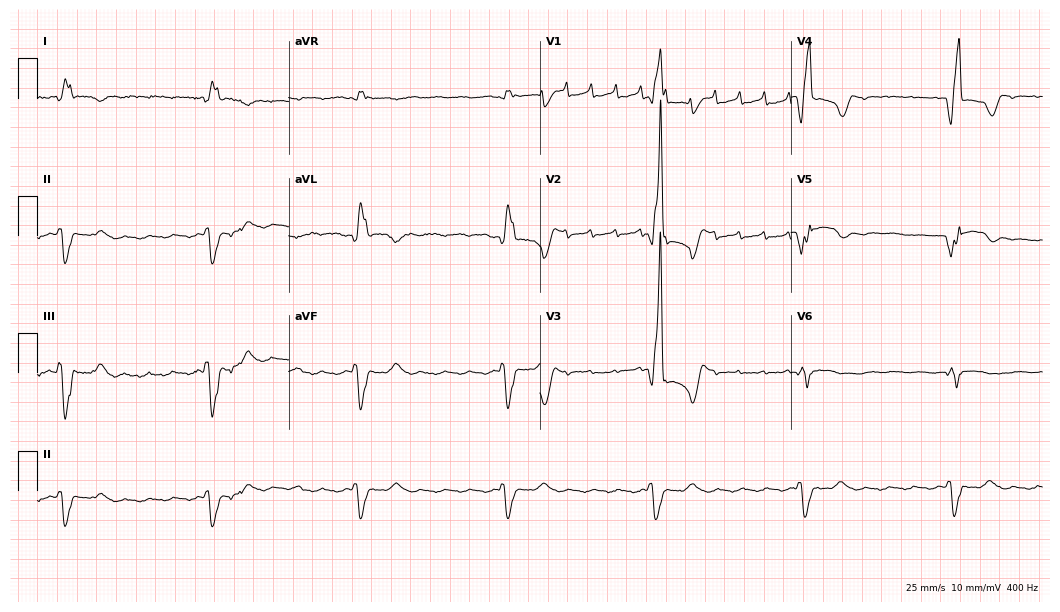
ECG (10.2-second recording at 400 Hz) — a man, 77 years old. Findings include right bundle branch block.